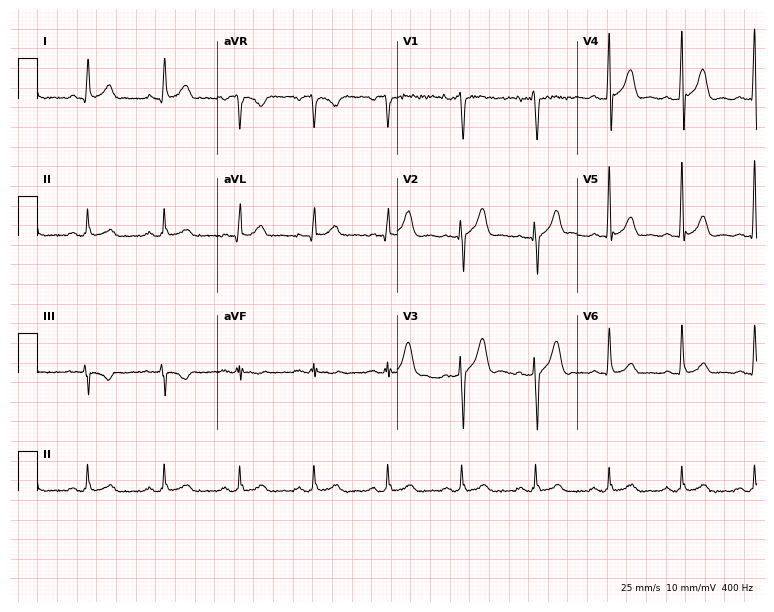
Resting 12-lead electrocardiogram. Patient: a 47-year-old man. None of these six findings is recorded: first-degree AV block, right bundle branch block (RBBB), left bundle branch block (LBBB), sinus bradycardia, atrial fibrillation (AF), sinus tachycardia.